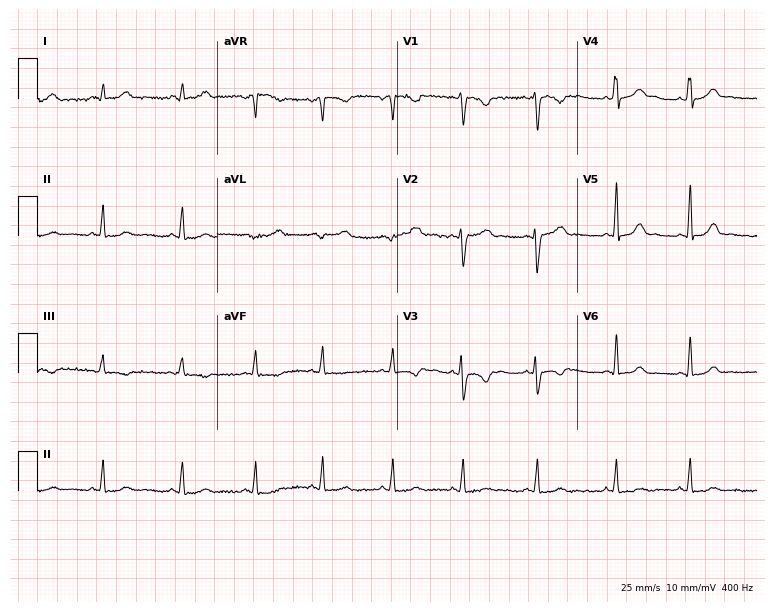
12-lead ECG from a female patient, 24 years old (7.3-second recording at 400 Hz). Recorded interpretation: within normal limits.